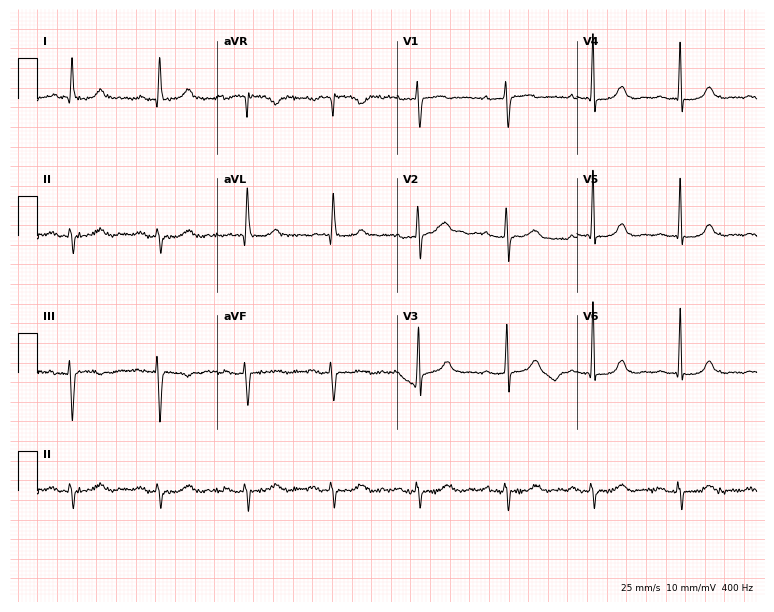
Resting 12-lead electrocardiogram (7.3-second recording at 400 Hz). Patient: a woman, 77 years old. None of these six findings is recorded: first-degree AV block, right bundle branch block, left bundle branch block, sinus bradycardia, atrial fibrillation, sinus tachycardia. Other findings, if any, are not listed.